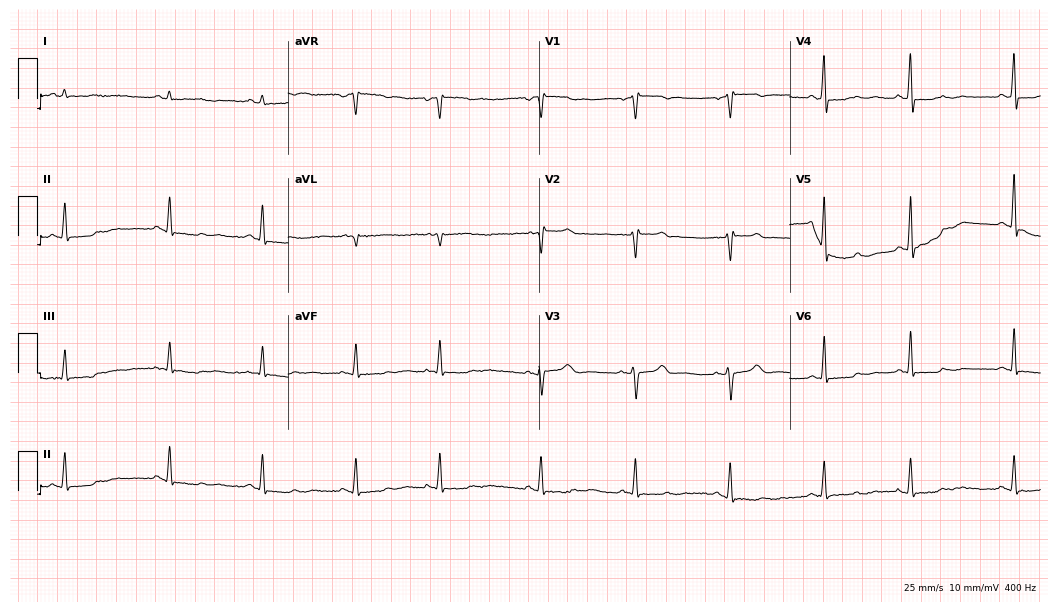
Standard 12-lead ECG recorded from a 56-year-old female patient. None of these six findings is recorded: first-degree AV block, right bundle branch block, left bundle branch block, sinus bradycardia, atrial fibrillation, sinus tachycardia. Findings outside these six are not listed.